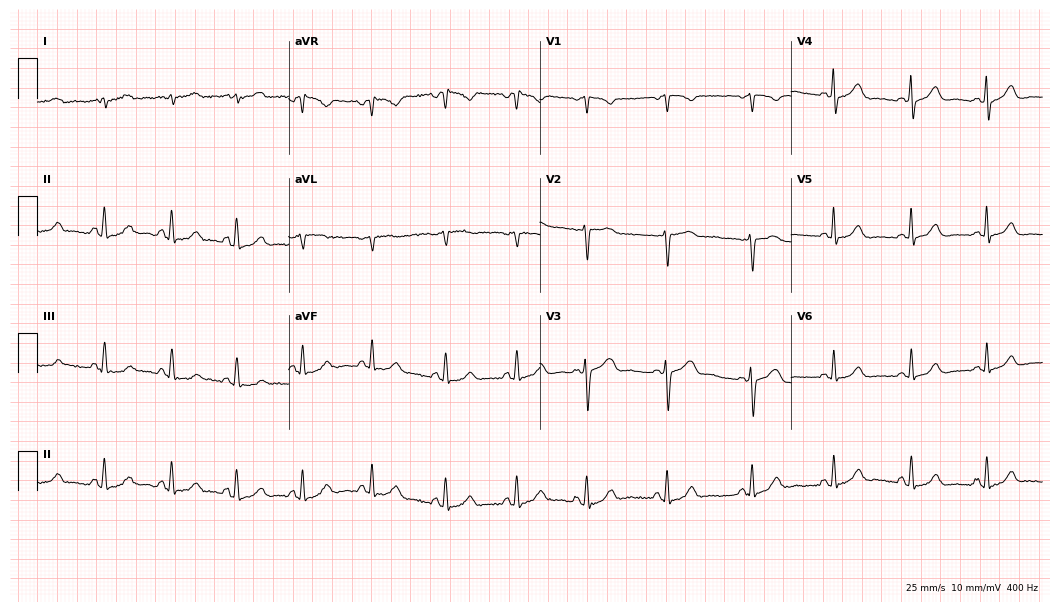
Resting 12-lead electrocardiogram (10.2-second recording at 400 Hz). Patient: a woman, 50 years old. None of these six findings is recorded: first-degree AV block, right bundle branch block, left bundle branch block, sinus bradycardia, atrial fibrillation, sinus tachycardia.